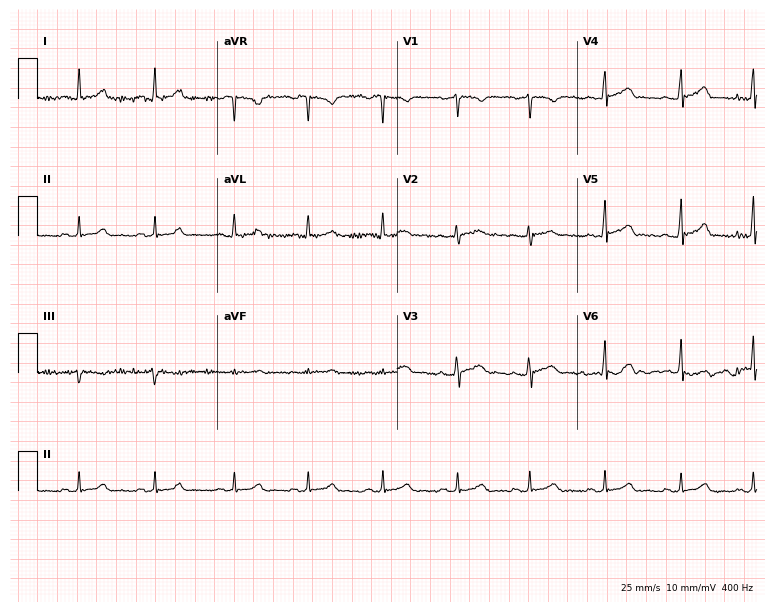
ECG (7.3-second recording at 400 Hz) — a female, 22 years old. Labelled as a normal ECG.